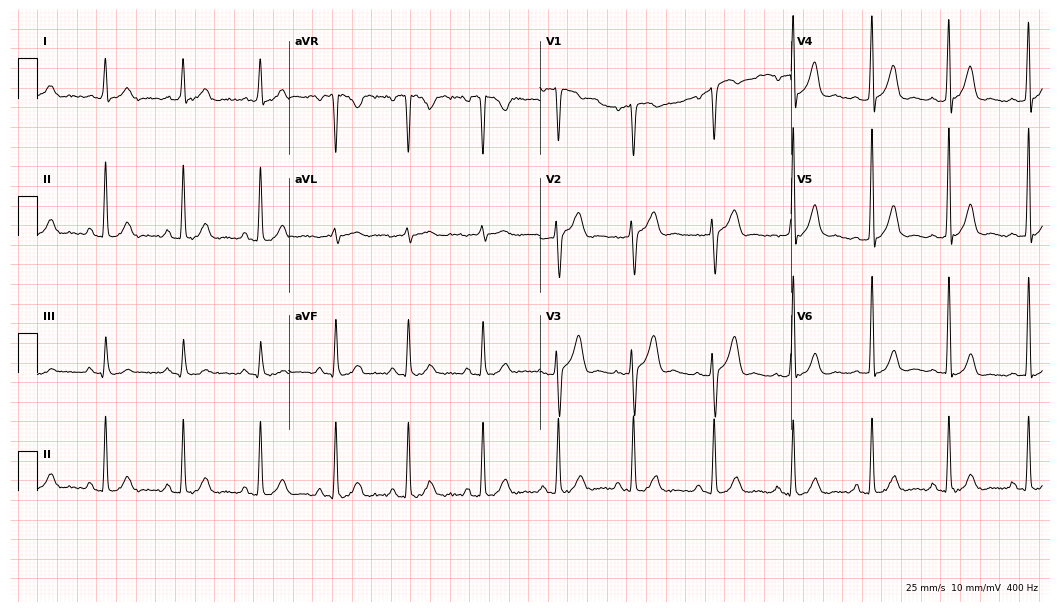
ECG — a 62-year-old male patient. Labelled as a normal ECG.